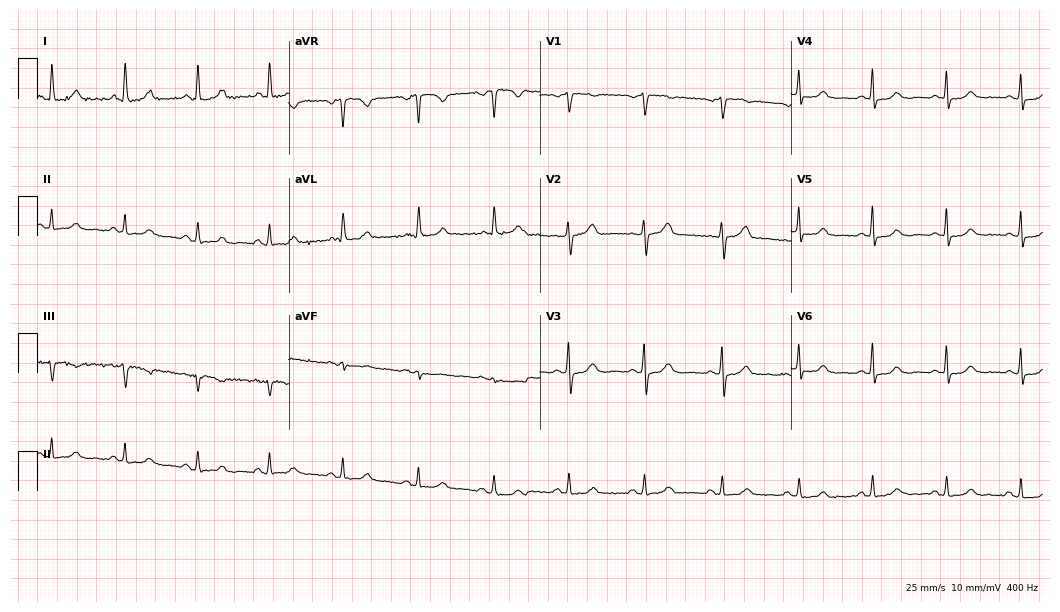
12-lead ECG (10.2-second recording at 400 Hz) from a 59-year-old female patient. Screened for six findings — first-degree AV block, right bundle branch block, left bundle branch block, sinus bradycardia, atrial fibrillation, sinus tachycardia — none is recorded.